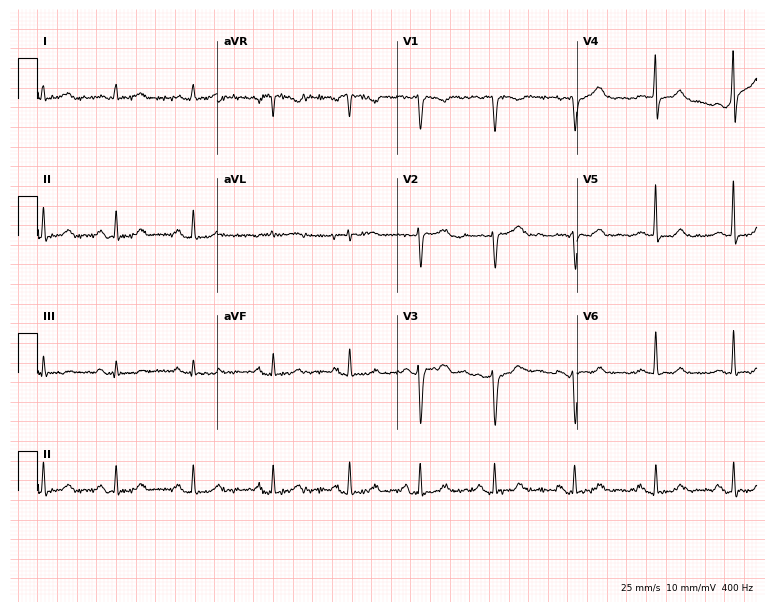
ECG (7.3-second recording at 400 Hz) — a woman, 34 years old. Screened for six findings — first-degree AV block, right bundle branch block, left bundle branch block, sinus bradycardia, atrial fibrillation, sinus tachycardia — none is recorded. Findings outside these six are not listed.